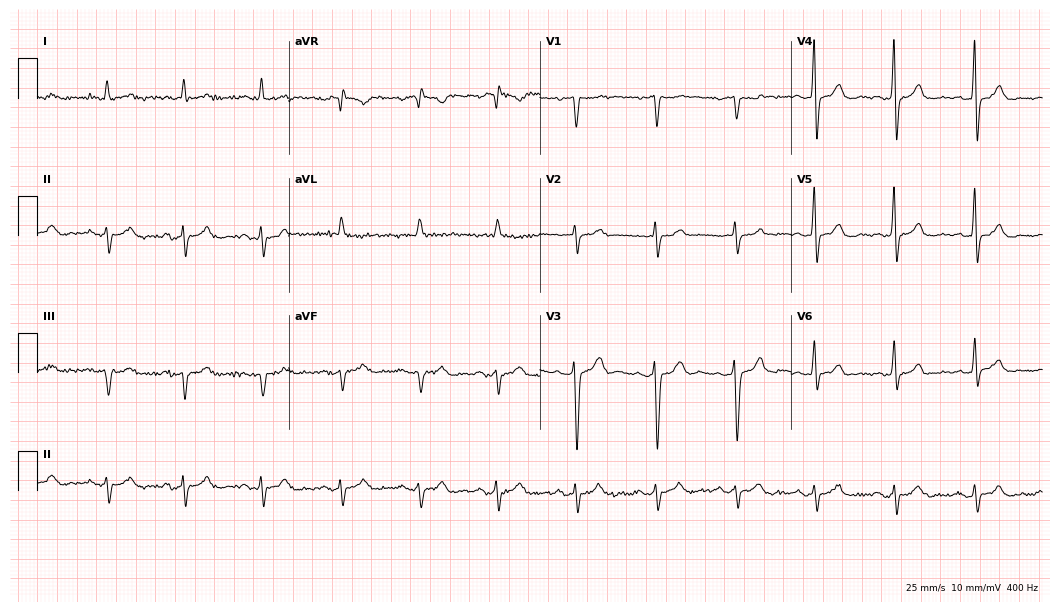
Standard 12-lead ECG recorded from a male patient, 79 years old. None of these six findings is recorded: first-degree AV block, right bundle branch block, left bundle branch block, sinus bradycardia, atrial fibrillation, sinus tachycardia.